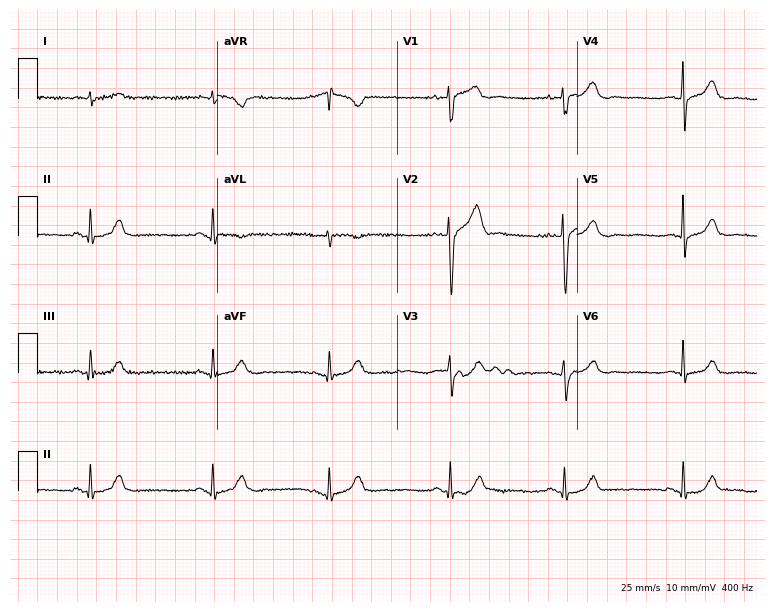
Standard 12-lead ECG recorded from a 66-year-old male patient. Read as a normal ECG.